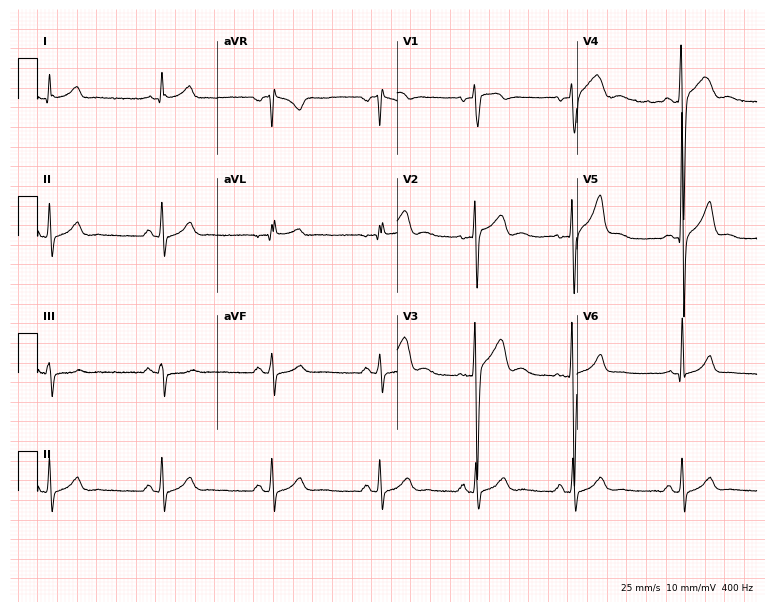
Electrocardiogram (7.3-second recording at 400 Hz), an 18-year-old man. Of the six screened findings (first-degree AV block, right bundle branch block, left bundle branch block, sinus bradycardia, atrial fibrillation, sinus tachycardia), none is recorded.